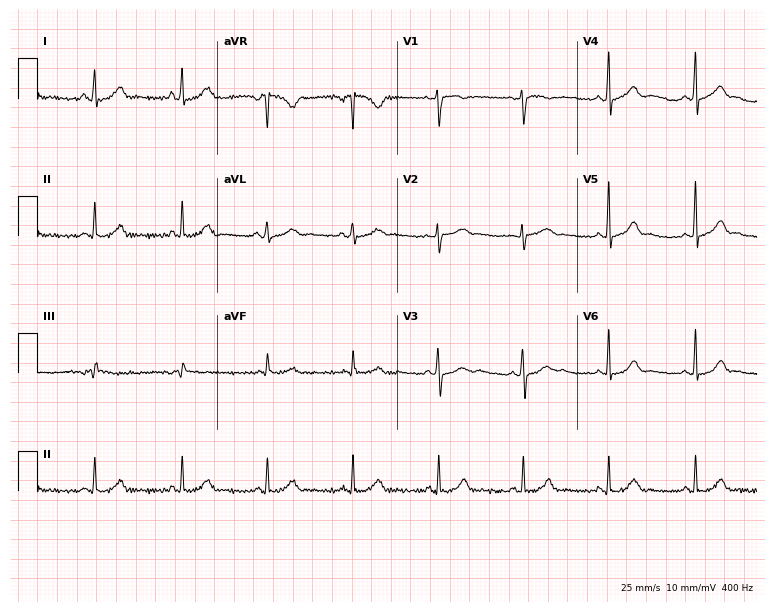
12-lead ECG from a woman, 31 years old. Recorded interpretation: within normal limits.